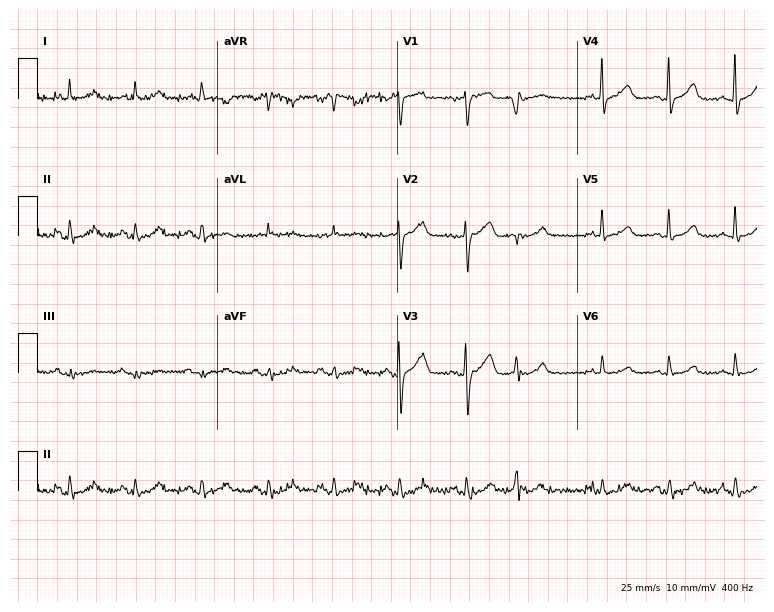
Resting 12-lead electrocardiogram. Patient: a woman, 85 years old. None of these six findings is recorded: first-degree AV block, right bundle branch block (RBBB), left bundle branch block (LBBB), sinus bradycardia, atrial fibrillation (AF), sinus tachycardia. Only these six findings were labelled.